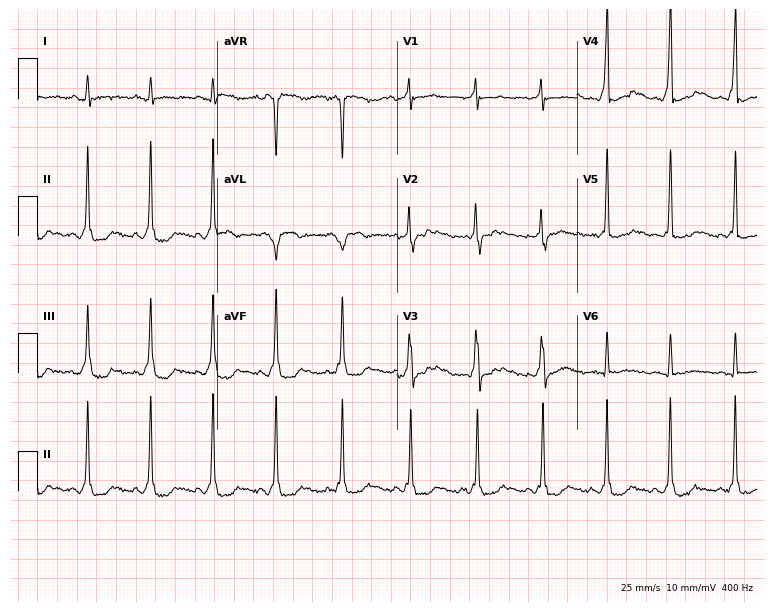
ECG (7.3-second recording at 400 Hz) — a male, 28 years old. Screened for six findings — first-degree AV block, right bundle branch block, left bundle branch block, sinus bradycardia, atrial fibrillation, sinus tachycardia — none is recorded. Other findings, if any, are not listed.